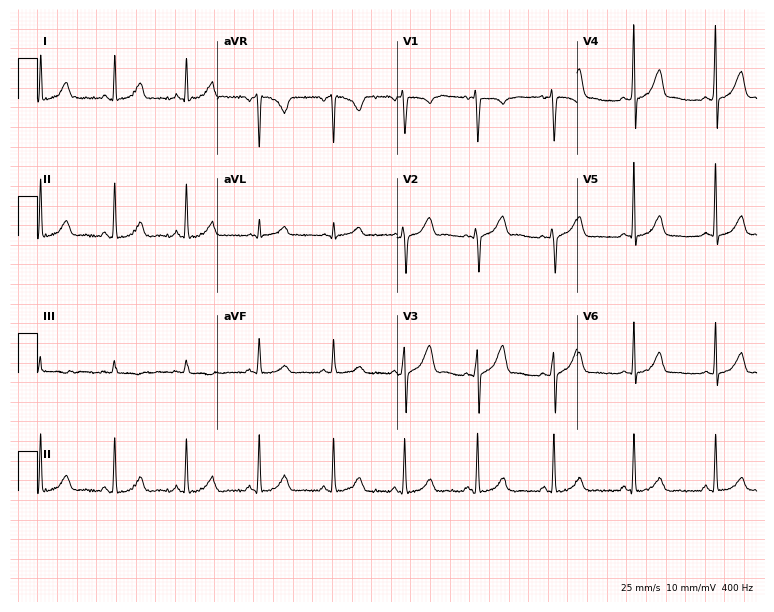
ECG — a 23-year-old female patient. Labelled as a normal ECG.